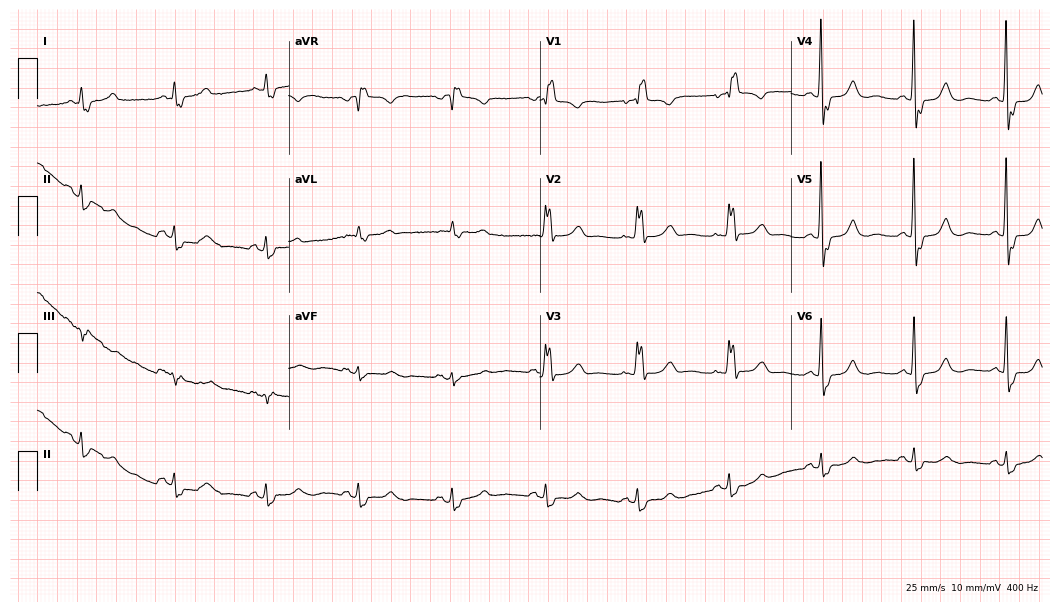
ECG (10.2-second recording at 400 Hz) — a woman, 75 years old. Findings include right bundle branch block.